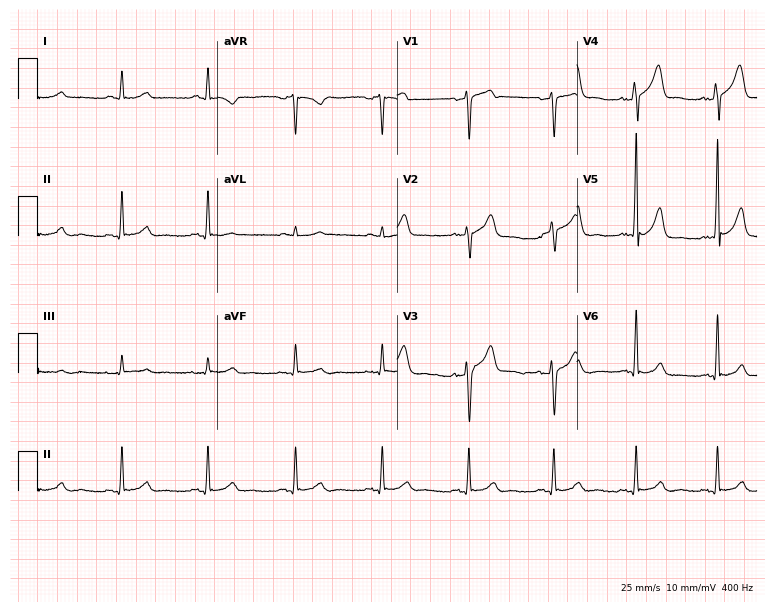
ECG (7.3-second recording at 400 Hz) — a 54-year-old male patient. Labelled as a normal ECG.